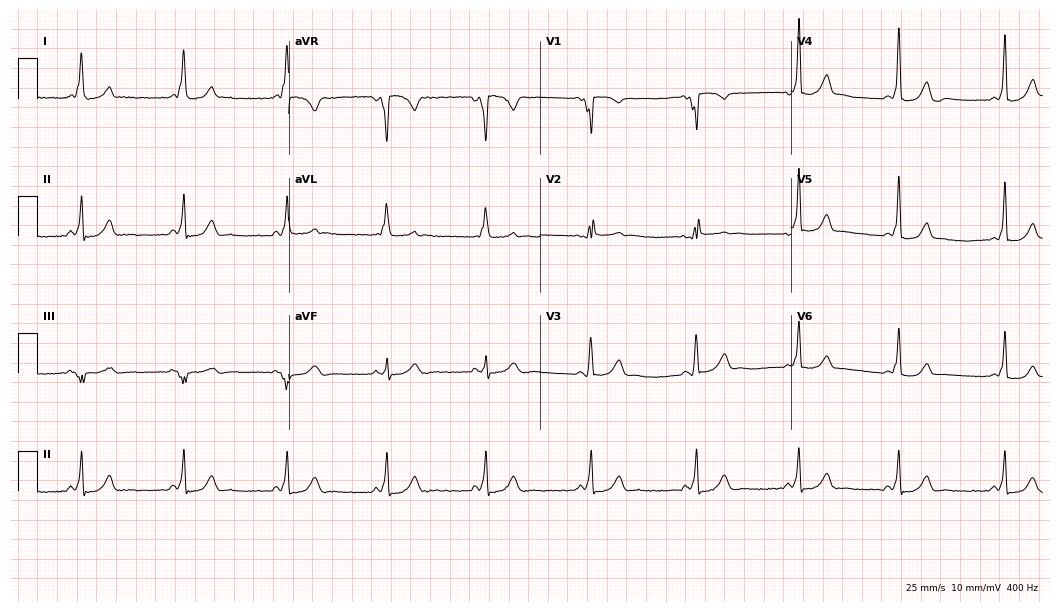
ECG — a female, 39 years old. Screened for six findings — first-degree AV block, right bundle branch block, left bundle branch block, sinus bradycardia, atrial fibrillation, sinus tachycardia — none is recorded. Other findings, if any, are not listed.